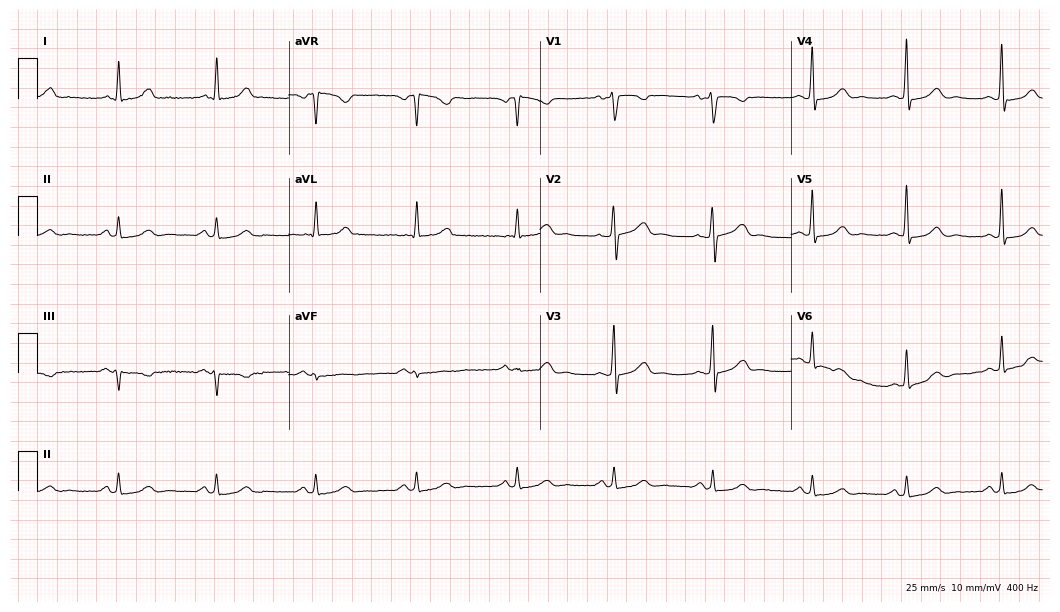
Standard 12-lead ECG recorded from a female, 39 years old (10.2-second recording at 400 Hz). Read as a normal ECG.